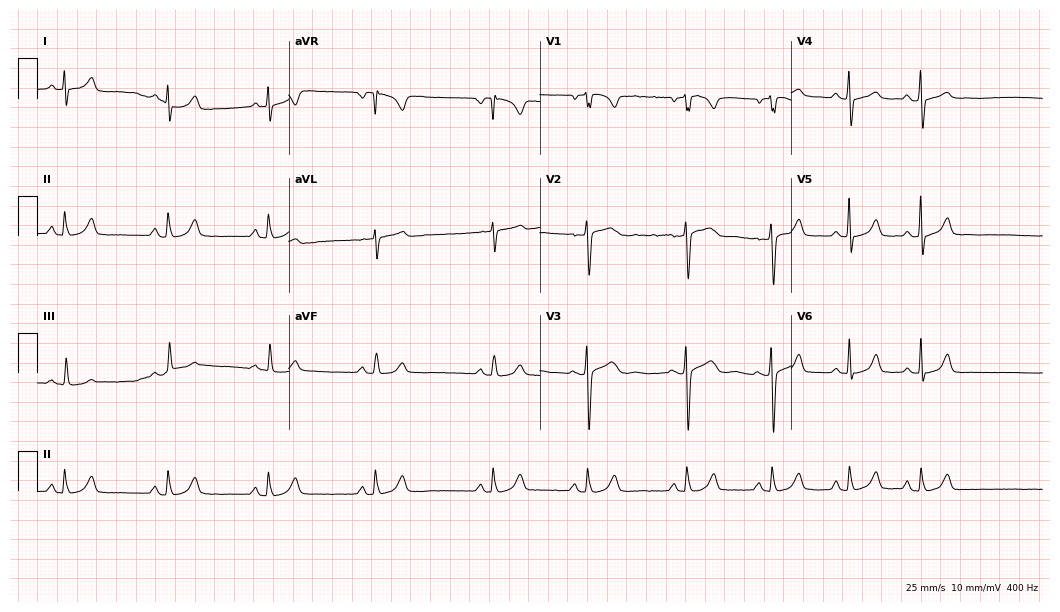
Standard 12-lead ECG recorded from a 20-year-old female (10.2-second recording at 400 Hz). Read as a normal ECG.